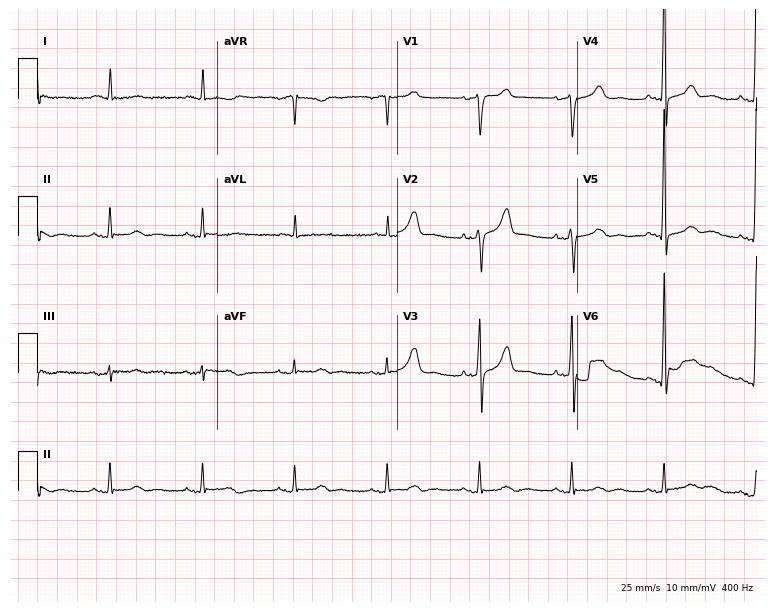
12-lead ECG from a 71-year-old male patient (7.3-second recording at 400 Hz). No first-degree AV block, right bundle branch block, left bundle branch block, sinus bradycardia, atrial fibrillation or sinus tachycardia recorded for this tracing.